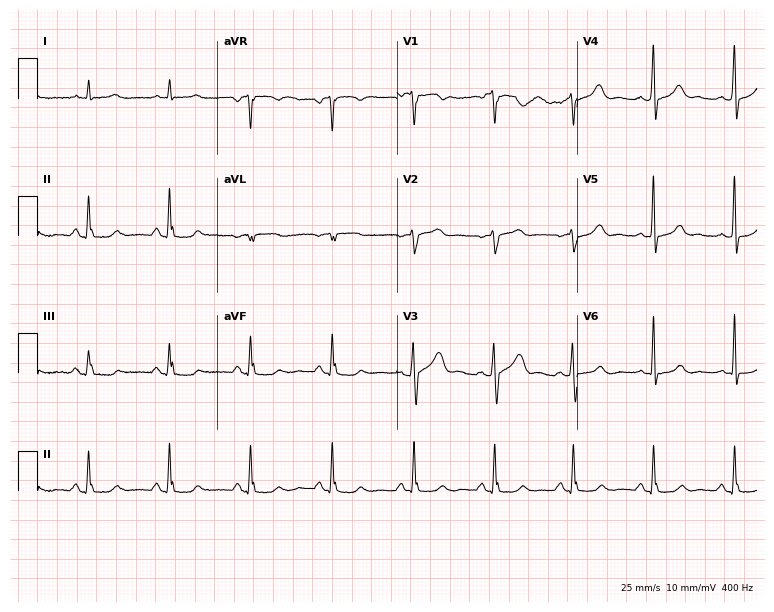
12-lead ECG (7.3-second recording at 400 Hz) from a male, 62 years old. Labelled as a normal ECG.